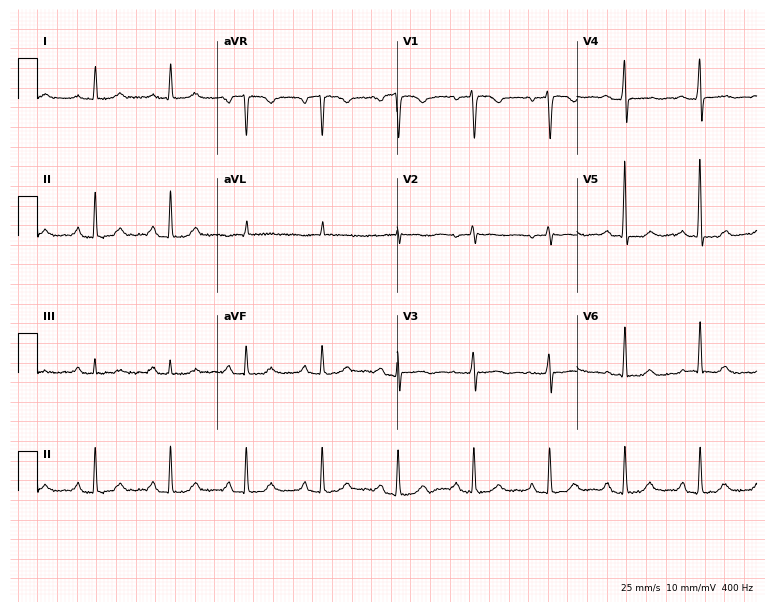
ECG (7.3-second recording at 400 Hz) — a female, 59 years old. Screened for six findings — first-degree AV block, right bundle branch block, left bundle branch block, sinus bradycardia, atrial fibrillation, sinus tachycardia — none is recorded. Findings outside these six are not listed.